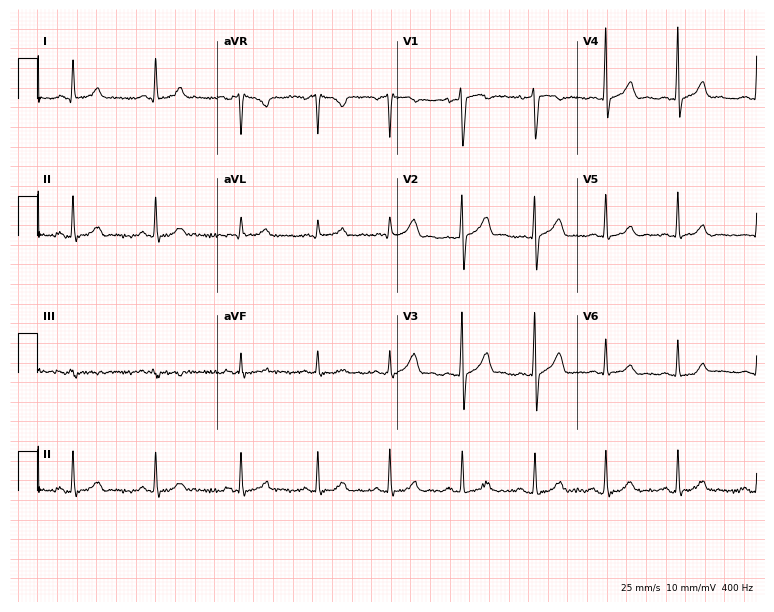
12-lead ECG from a male patient, 24 years old (7.3-second recording at 400 Hz). Recorded interpretation: within normal limits.